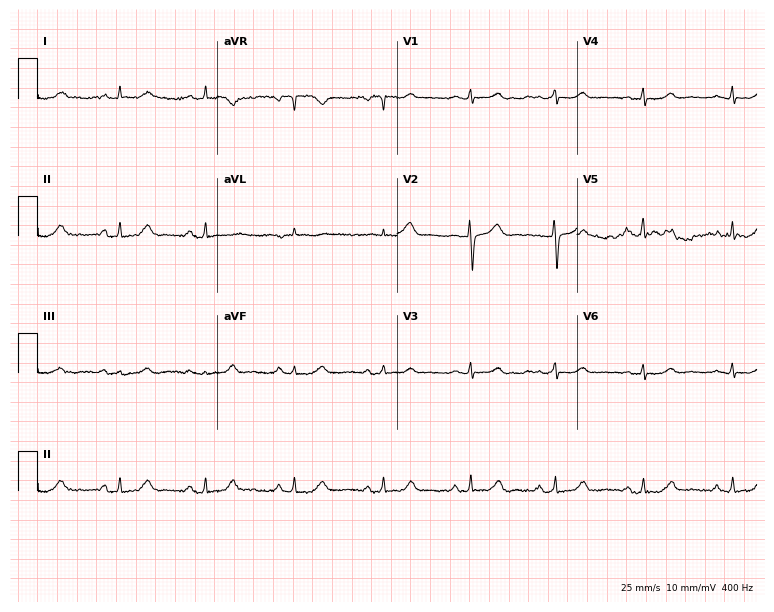
ECG — a female, 59 years old. Screened for six findings — first-degree AV block, right bundle branch block (RBBB), left bundle branch block (LBBB), sinus bradycardia, atrial fibrillation (AF), sinus tachycardia — none is recorded. Other findings, if any, are not listed.